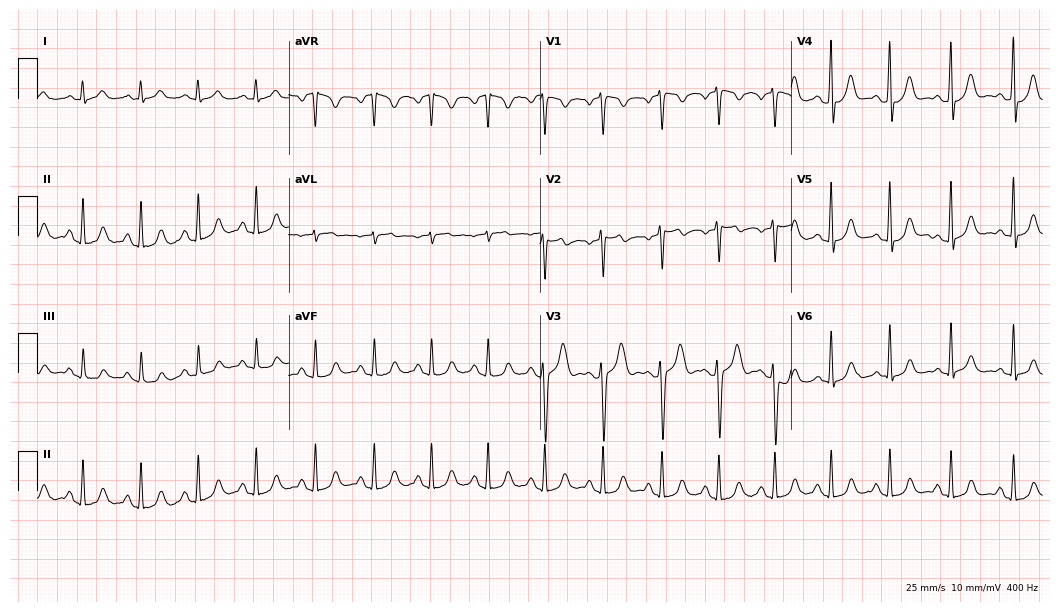
Standard 12-lead ECG recorded from a female patient, 25 years old. Read as a normal ECG.